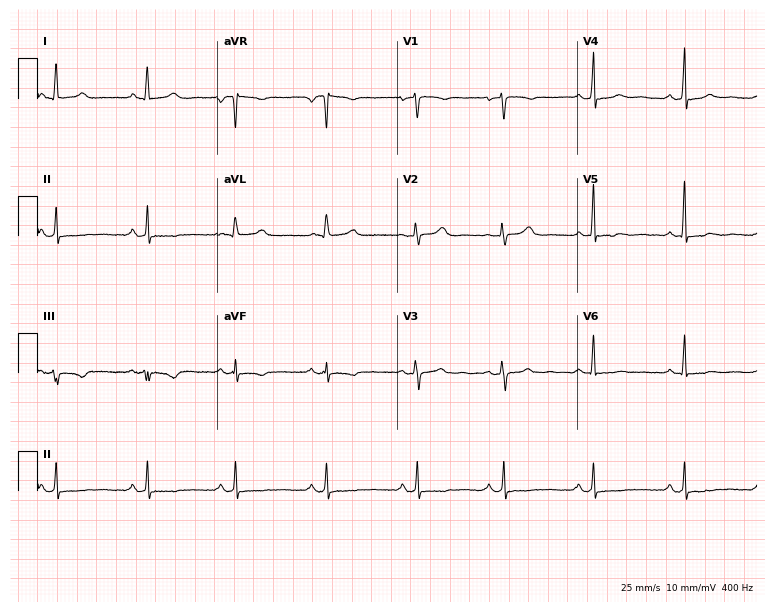
Standard 12-lead ECG recorded from a female patient, 50 years old (7.3-second recording at 400 Hz). None of these six findings is recorded: first-degree AV block, right bundle branch block (RBBB), left bundle branch block (LBBB), sinus bradycardia, atrial fibrillation (AF), sinus tachycardia. Only these six findings were labelled.